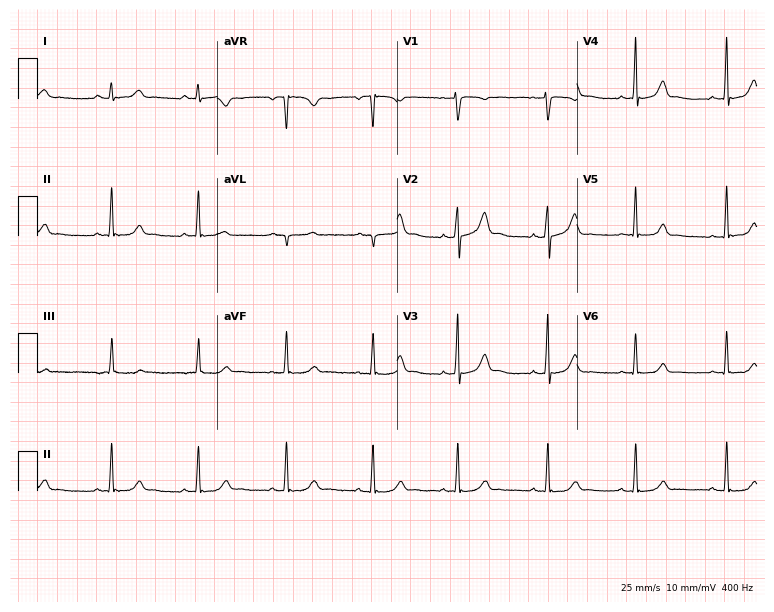
12-lead ECG from a woman, 18 years old. Screened for six findings — first-degree AV block, right bundle branch block, left bundle branch block, sinus bradycardia, atrial fibrillation, sinus tachycardia — none is recorded.